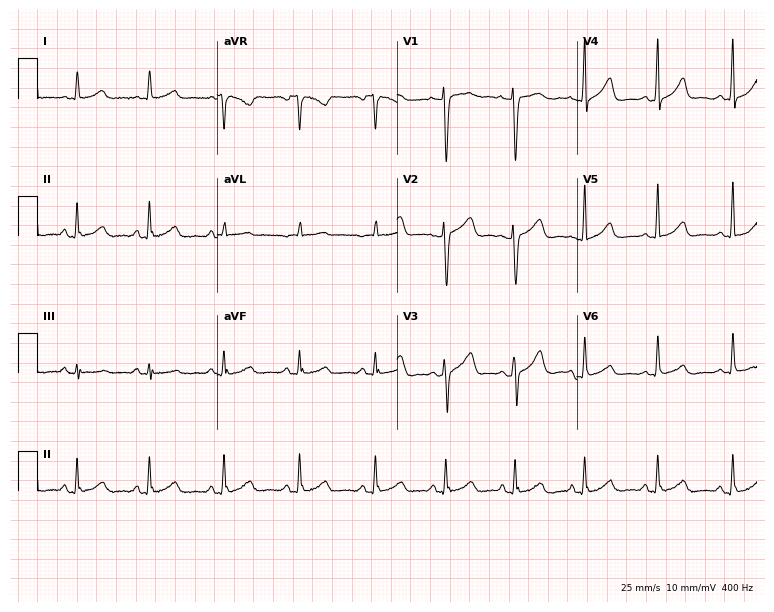
Electrocardiogram, a 48-year-old female. Overall reading on record: normal ECG.